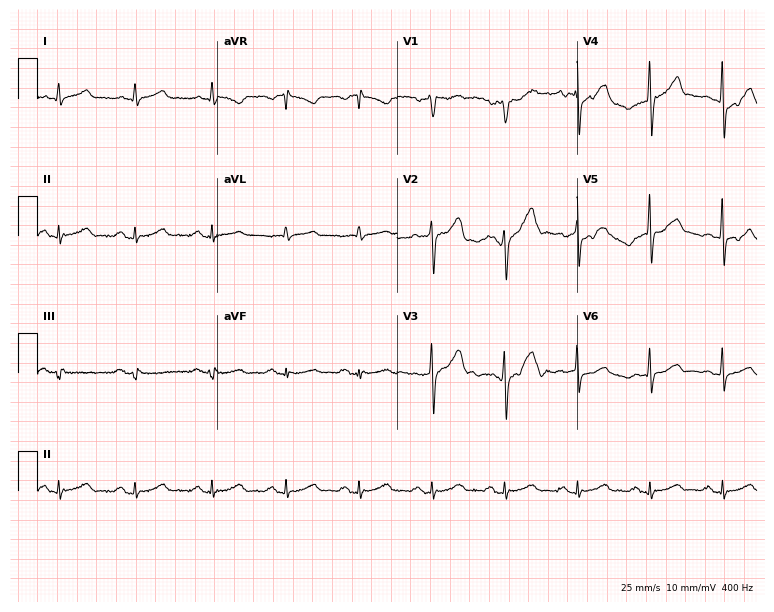
12-lead ECG (7.3-second recording at 400 Hz) from a 50-year-old male patient. Labelled as a normal ECG.